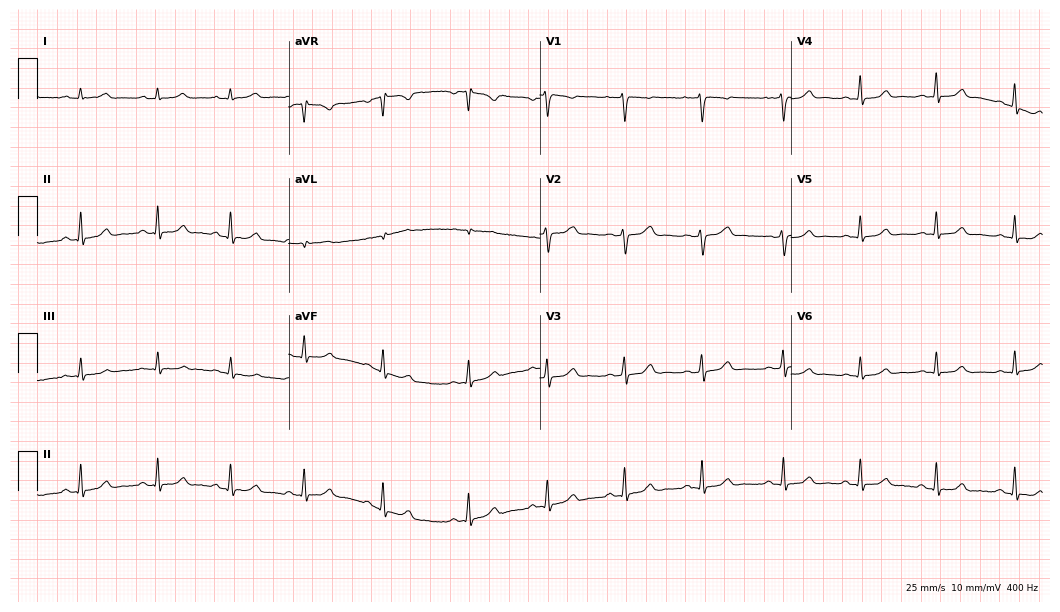
12-lead ECG (10.2-second recording at 400 Hz) from a 29-year-old female patient. Screened for six findings — first-degree AV block, right bundle branch block, left bundle branch block, sinus bradycardia, atrial fibrillation, sinus tachycardia — none is recorded. Findings outside these six are not listed.